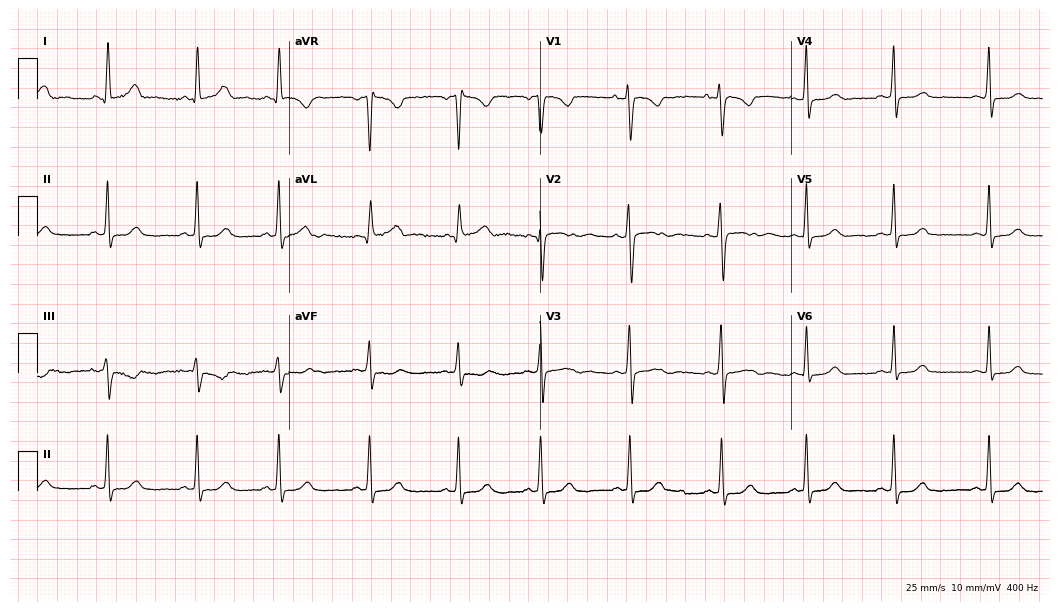
Standard 12-lead ECG recorded from a female patient, 37 years old. None of these six findings is recorded: first-degree AV block, right bundle branch block, left bundle branch block, sinus bradycardia, atrial fibrillation, sinus tachycardia.